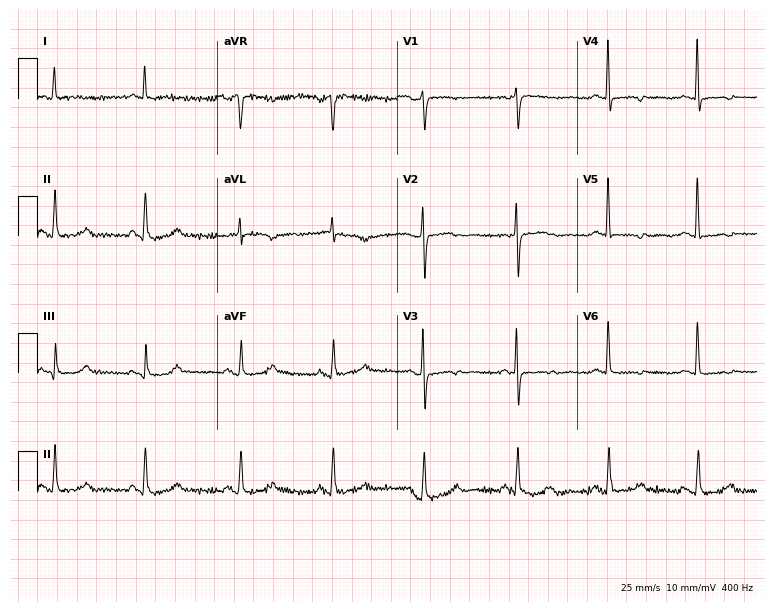
Electrocardiogram (7.3-second recording at 400 Hz), an 81-year-old female. Of the six screened findings (first-degree AV block, right bundle branch block (RBBB), left bundle branch block (LBBB), sinus bradycardia, atrial fibrillation (AF), sinus tachycardia), none is recorded. Findings outside these six are not listed.